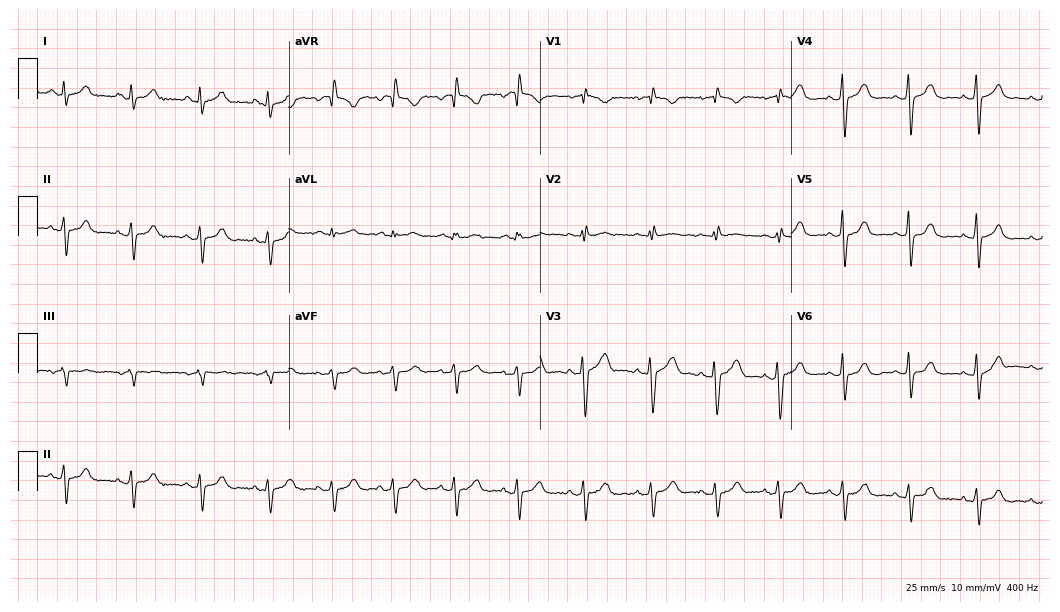
ECG — a female patient, 24 years old. Screened for six findings — first-degree AV block, right bundle branch block (RBBB), left bundle branch block (LBBB), sinus bradycardia, atrial fibrillation (AF), sinus tachycardia — none is recorded.